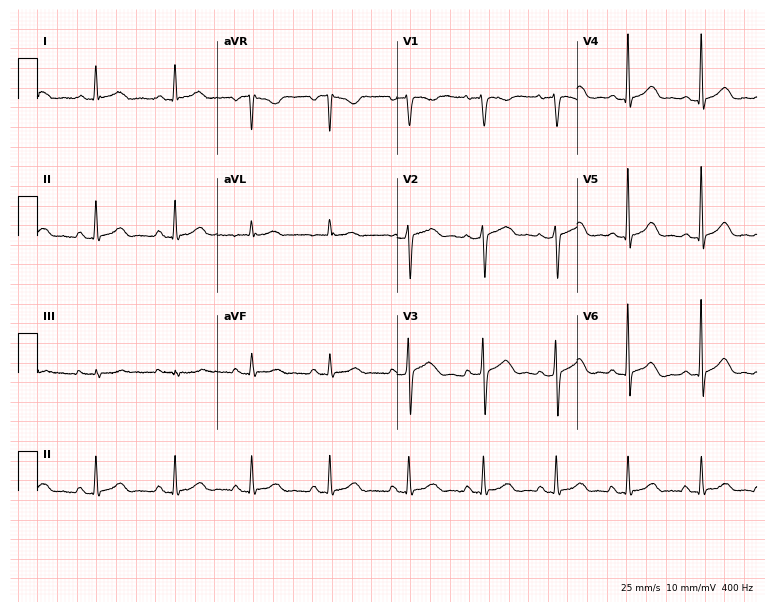
ECG (7.3-second recording at 400 Hz) — a female, 36 years old. Labelled as a normal ECG.